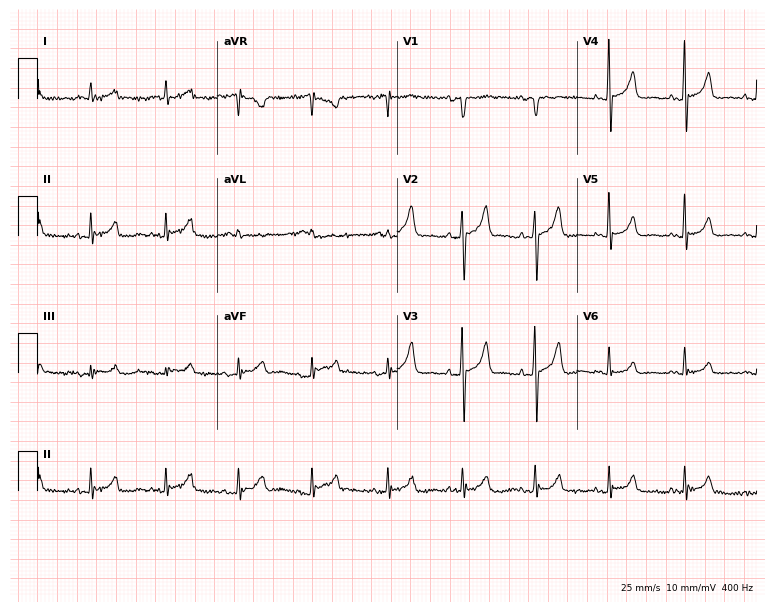
12-lead ECG from a man, 77 years old (7.3-second recording at 400 Hz). No first-degree AV block, right bundle branch block (RBBB), left bundle branch block (LBBB), sinus bradycardia, atrial fibrillation (AF) or sinus tachycardia recorded for this tracing.